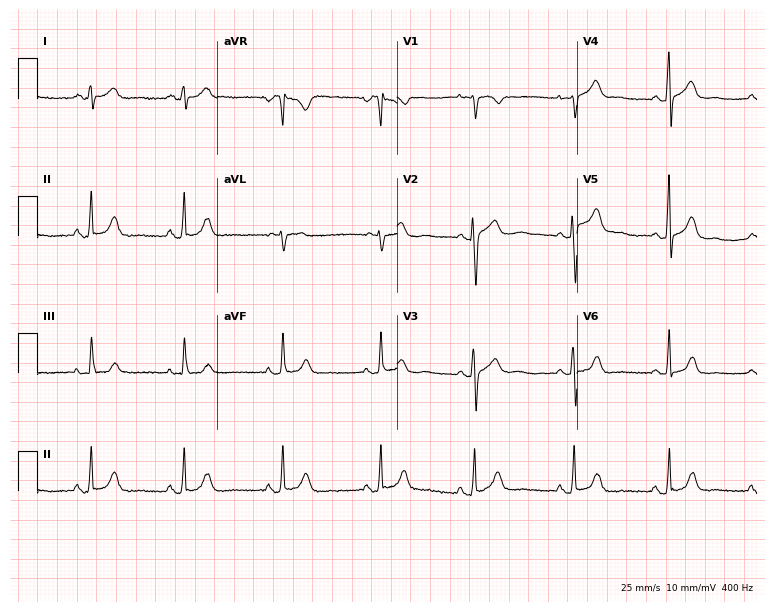
12-lead ECG from a female patient, 29 years old. Labelled as a normal ECG.